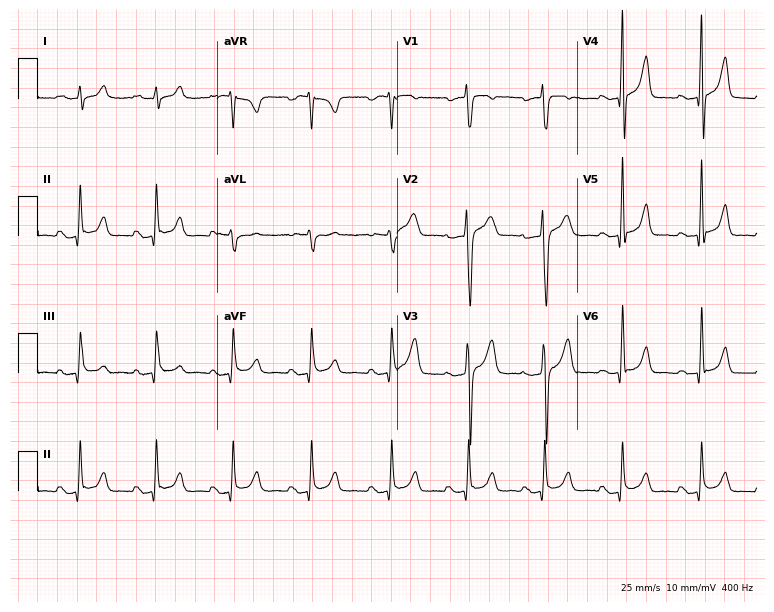
Resting 12-lead electrocardiogram. Patient: a male, 26 years old. None of these six findings is recorded: first-degree AV block, right bundle branch block, left bundle branch block, sinus bradycardia, atrial fibrillation, sinus tachycardia. Other findings, if any, are not listed.